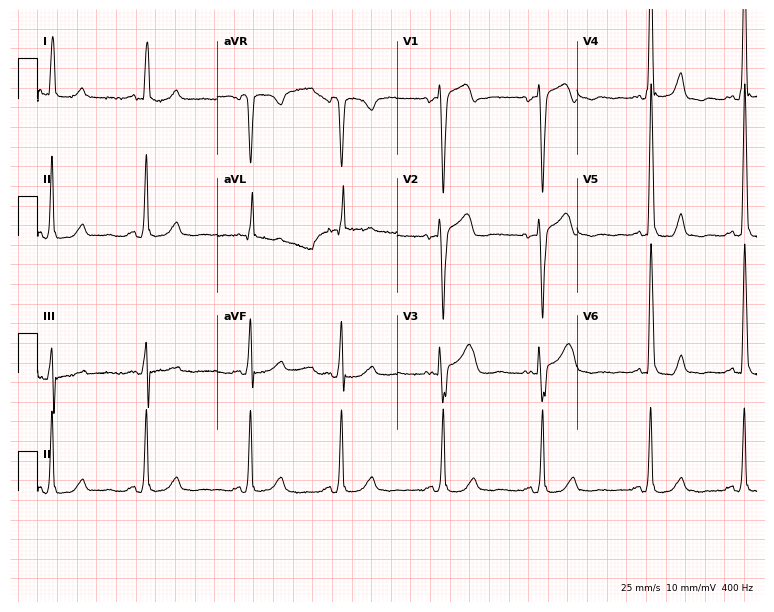
Resting 12-lead electrocardiogram. Patient: a 78-year-old female. None of these six findings is recorded: first-degree AV block, right bundle branch block (RBBB), left bundle branch block (LBBB), sinus bradycardia, atrial fibrillation (AF), sinus tachycardia.